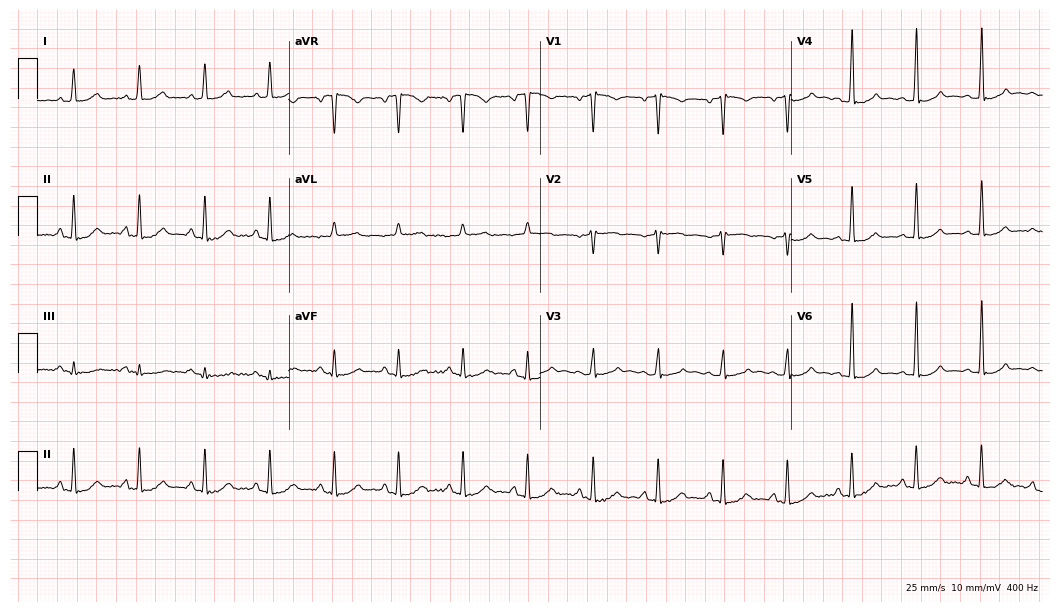
ECG — a female, 56 years old. Screened for six findings — first-degree AV block, right bundle branch block (RBBB), left bundle branch block (LBBB), sinus bradycardia, atrial fibrillation (AF), sinus tachycardia — none is recorded.